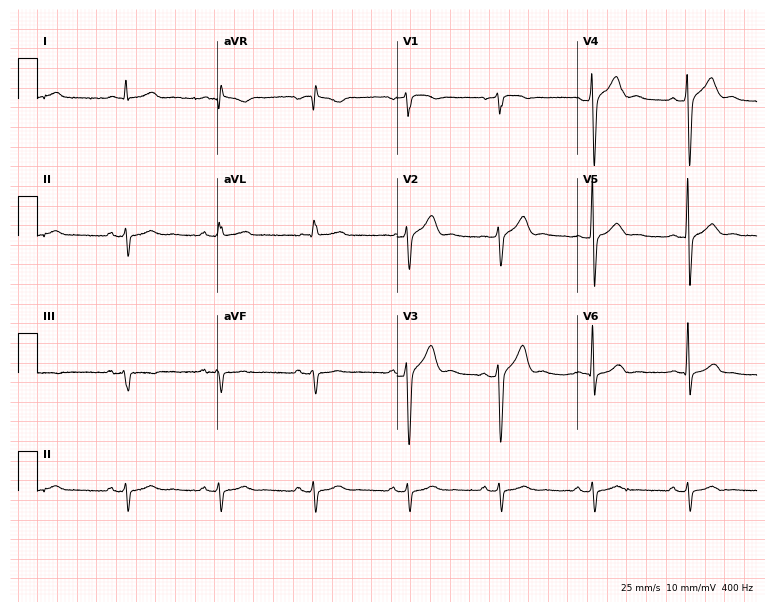
12-lead ECG (7.3-second recording at 400 Hz) from a 54-year-old man. Screened for six findings — first-degree AV block, right bundle branch block, left bundle branch block, sinus bradycardia, atrial fibrillation, sinus tachycardia — none is recorded. Findings outside these six are not listed.